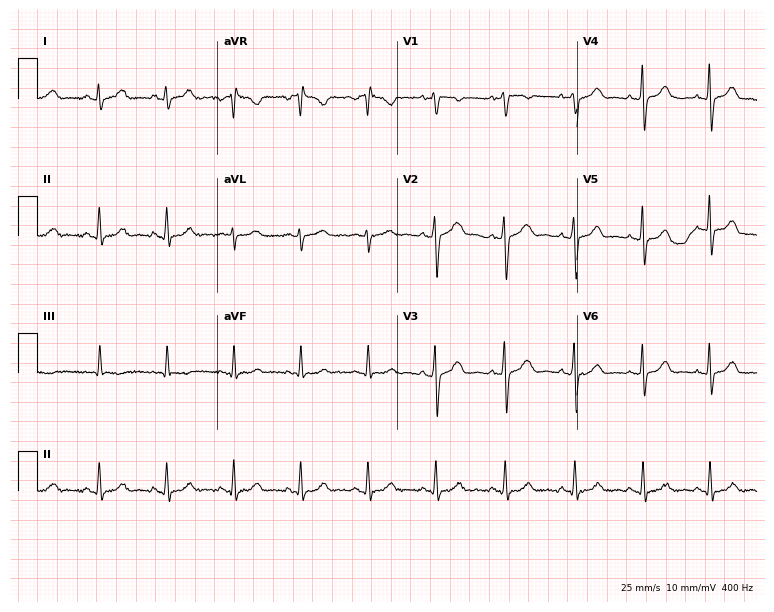
Standard 12-lead ECG recorded from a woman, 40 years old (7.3-second recording at 400 Hz). None of these six findings is recorded: first-degree AV block, right bundle branch block (RBBB), left bundle branch block (LBBB), sinus bradycardia, atrial fibrillation (AF), sinus tachycardia.